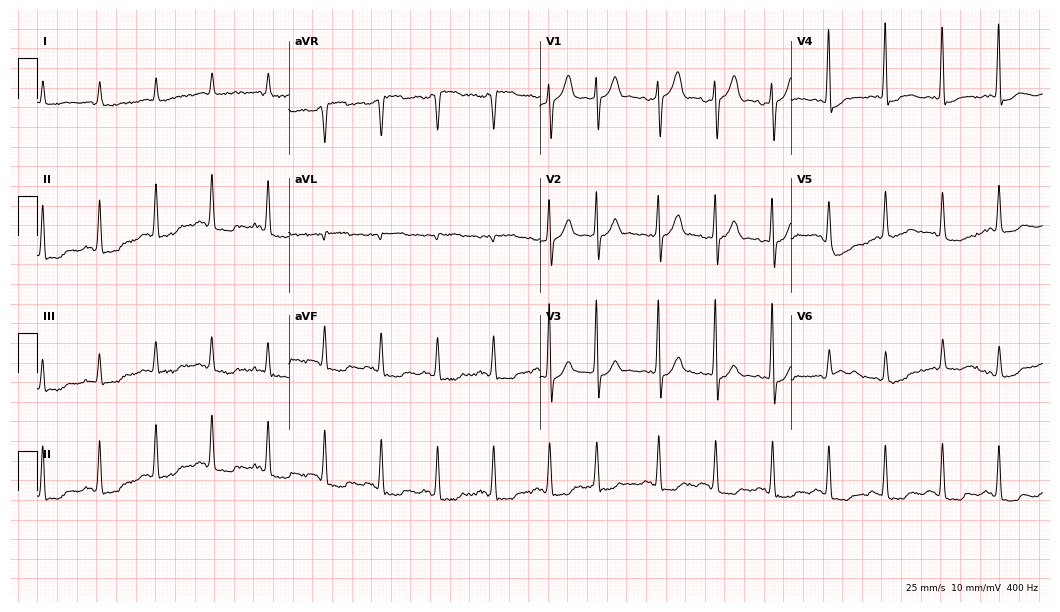
Electrocardiogram (10.2-second recording at 400 Hz), a 78-year-old male. Of the six screened findings (first-degree AV block, right bundle branch block, left bundle branch block, sinus bradycardia, atrial fibrillation, sinus tachycardia), none is recorded. Findings outside these six are not listed.